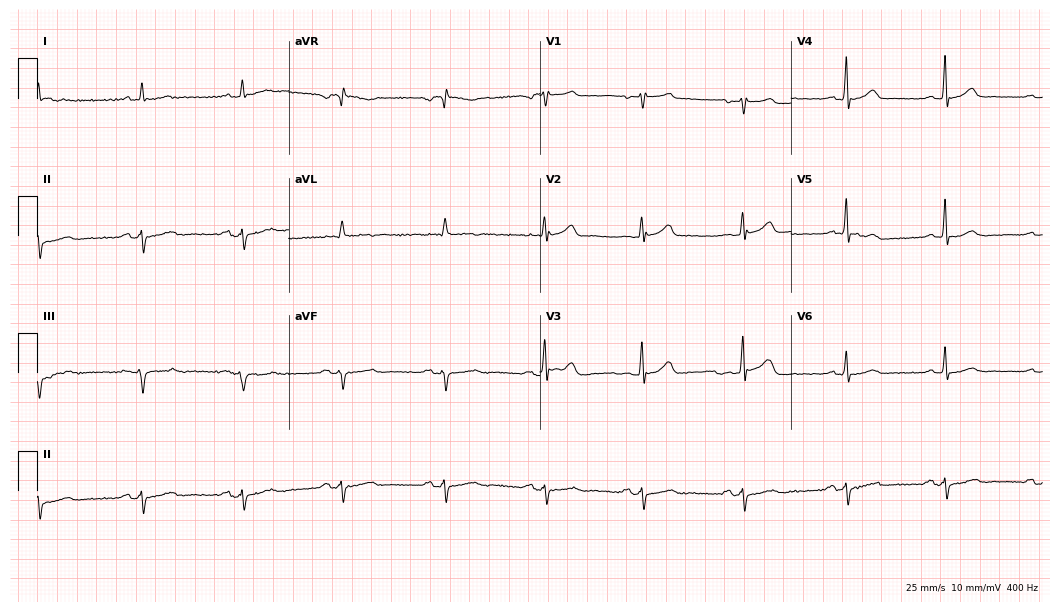
12-lead ECG from a 69-year-old male (10.2-second recording at 400 Hz). No first-degree AV block, right bundle branch block, left bundle branch block, sinus bradycardia, atrial fibrillation or sinus tachycardia recorded for this tracing. Only these six findings were labelled.